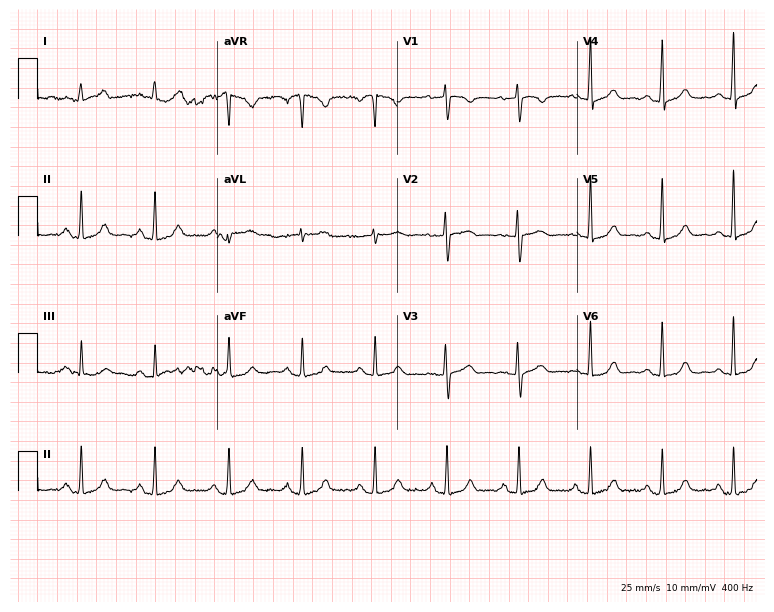
ECG — a female patient, 54 years old. Screened for six findings — first-degree AV block, right bundle branch block (RBBB), left bundle branch block (LBBB), sinus bradycardia, atrial fibrillation (AF), sinus tachycardia — none is recorded. Only these six findings were labelled.